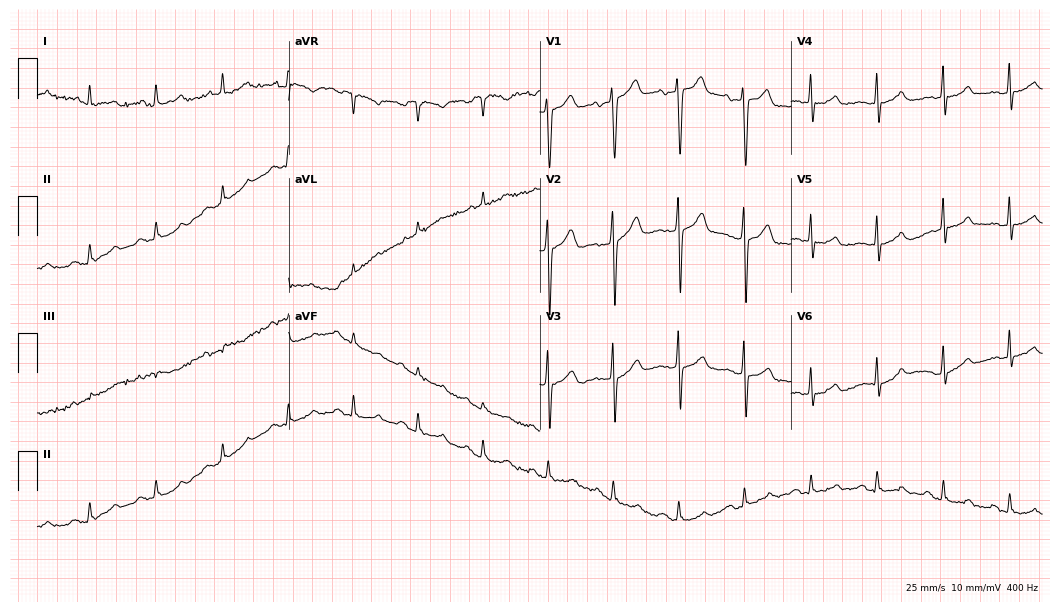
Resting 12-lead electrocardiogram (10.2-second recording at 400 Hz). Patient: a male, 51 years old. Read as a normal ECG.